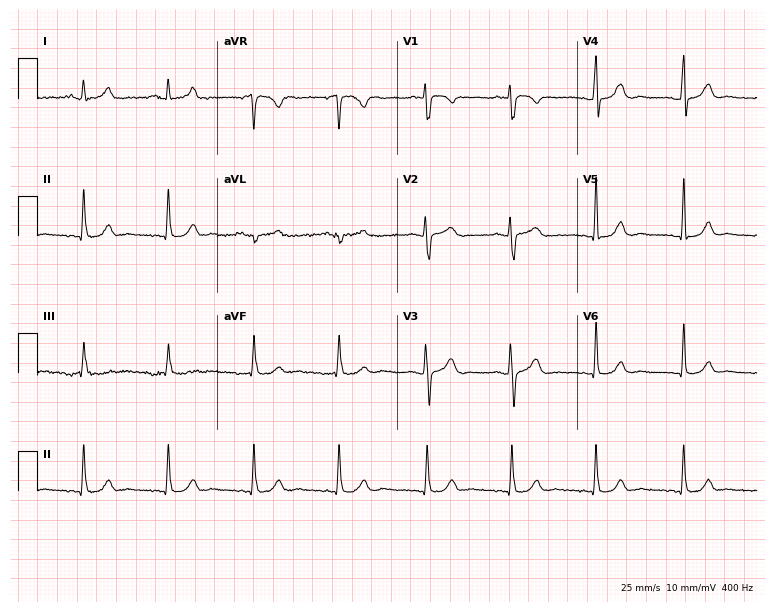
12-lead ECG from a 30-year-old woman (7.3-second recording at 400 Hz). Recorded interpretation: within normal limits.